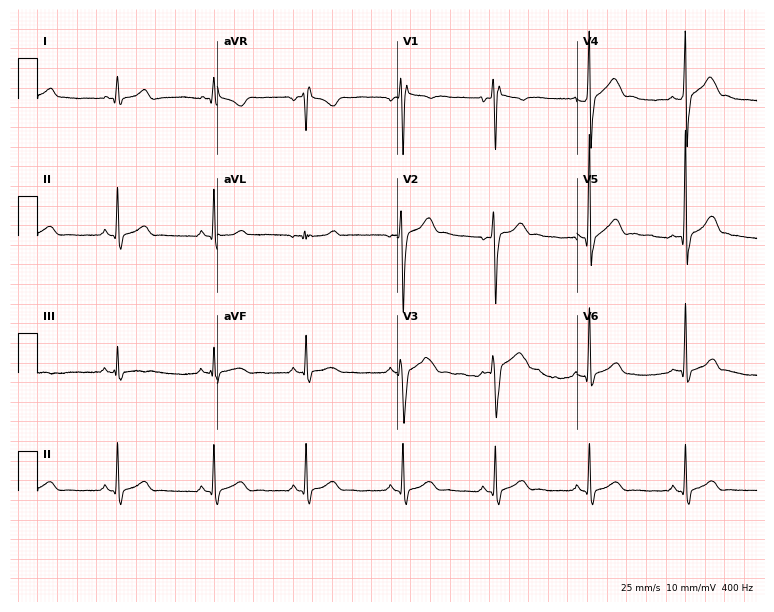
12-lead ECG (7.3-second recording at 400 Hz) from a male patient, 17 years old. Screened for six findings — first-degree AV block, right bundle branch block (RBBB), left bundle branch block (LBBB), sinus bradycardia, atrial fibrillation (AF), sinus tachycardia — none is recorded.